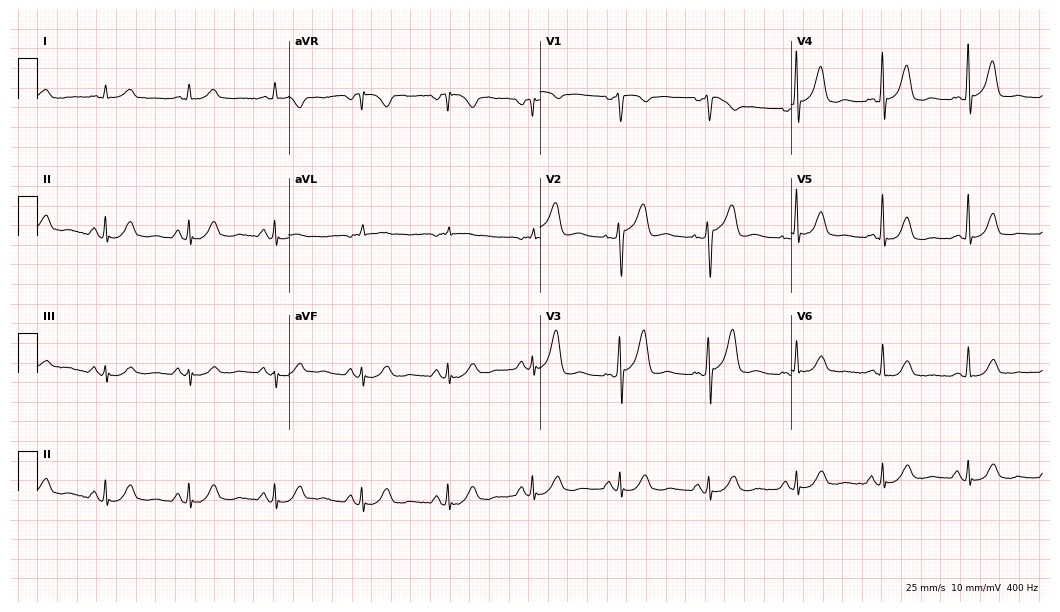
Electrocardiogram (10.2-second recording at 400 Hz), an 80-year-old male. Overall reading on record: normal ECG.